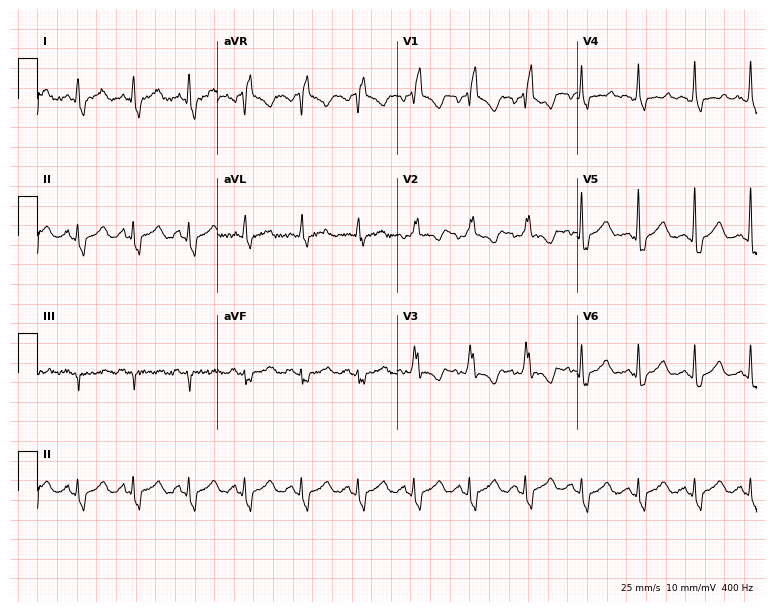
12-lead ECG from a woman, 40 years old. Findings include right bundle branch block (RBBB).